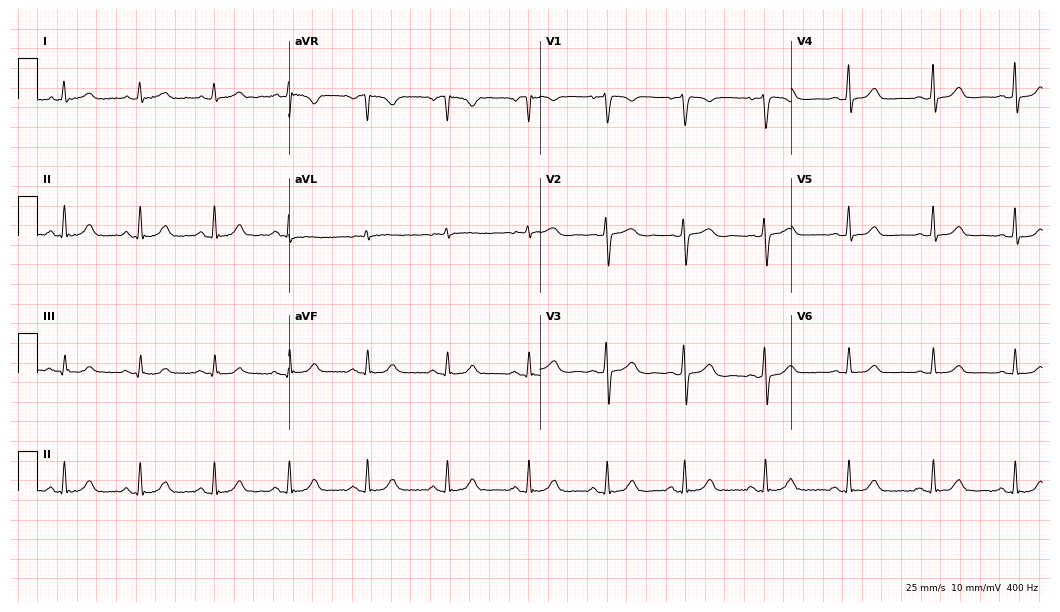
12-lead ECG from a 42-year-old female (10.2-second recording at 400 Hz). No first-degree AV block, right bundle branch block, left bundle branch block, sinus bradycardia, atrial fibrillation or sinus tachycardia recorded for this tracing. Other findings, if any, are not listed.